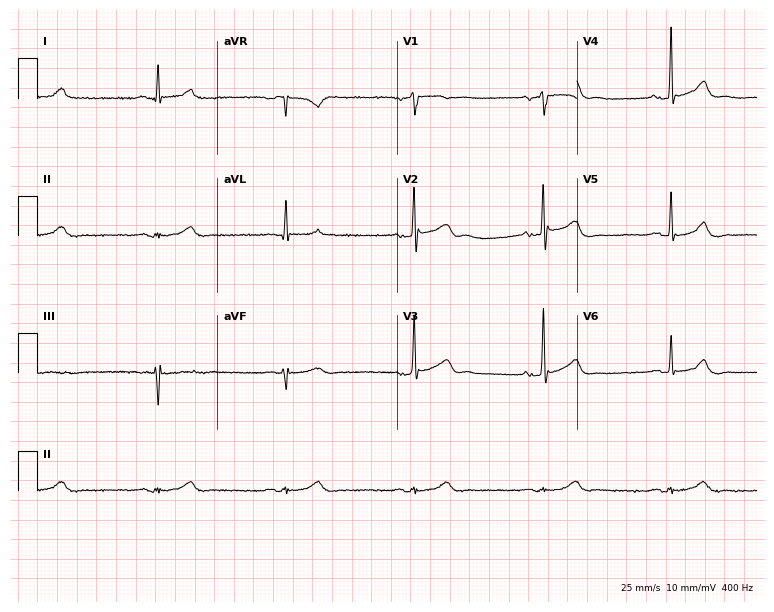
Electrocardiogram, a 57-year-old male patient. Interpretation includes sinus bradycardia (a sinus rate of 50 beats per minute or less).